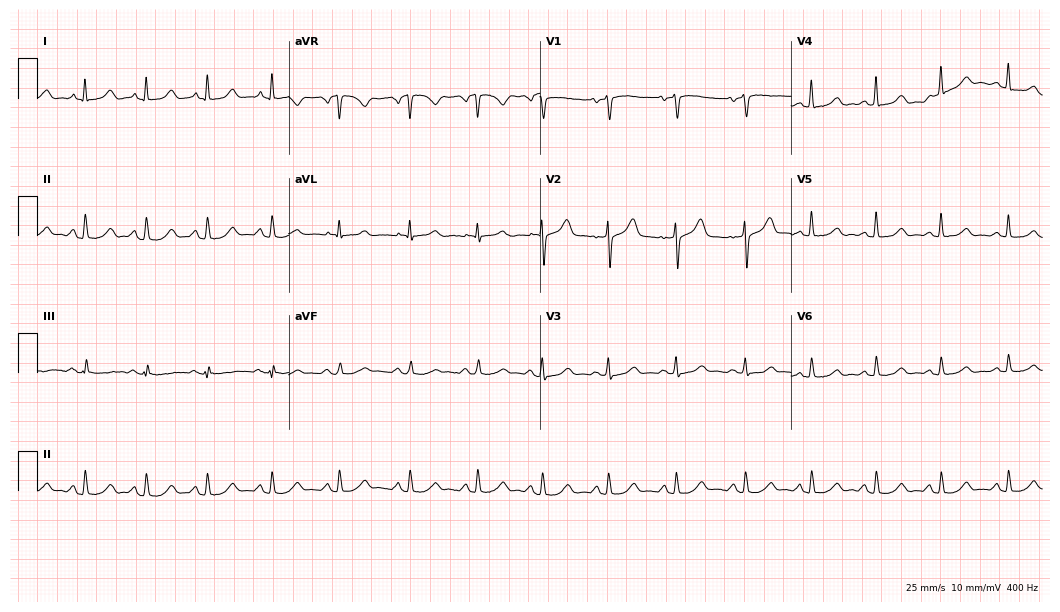
Resting 12-lead electrocardiogram. Patient: a 54-year-old female. None of these six findings is recorded: first-degree AV block, right bundle branch block, left bundle branch block, sinus bradycardia, atrial fibrillation, sinus tachycardia. Other findings, if any, are not listed.